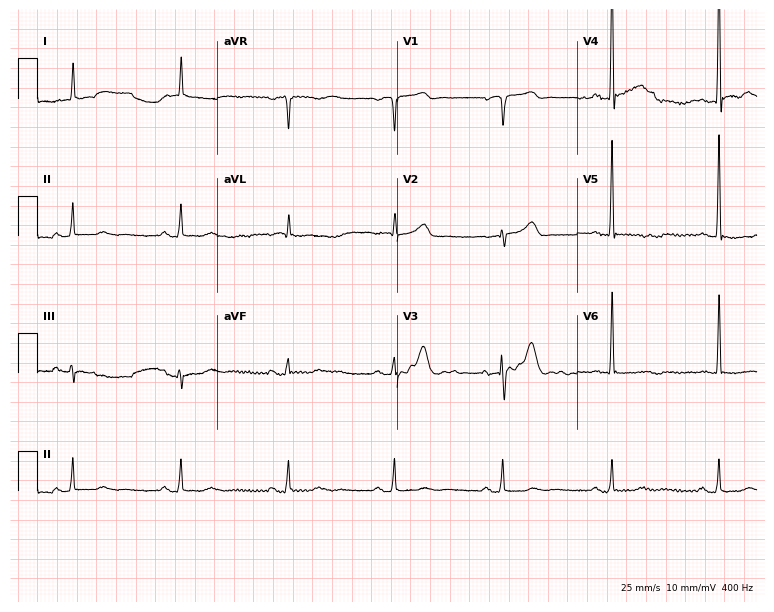
12-lead ECG from a male, 82 years old (7.3-second recording at 400 Hz). No first-degree AV block, right bundle branch block, left bundle branch block, sinus bradycardia, atrial fibrillation or sinus tachycardia recorded for this tracing. Other findings, if any, are not listed.